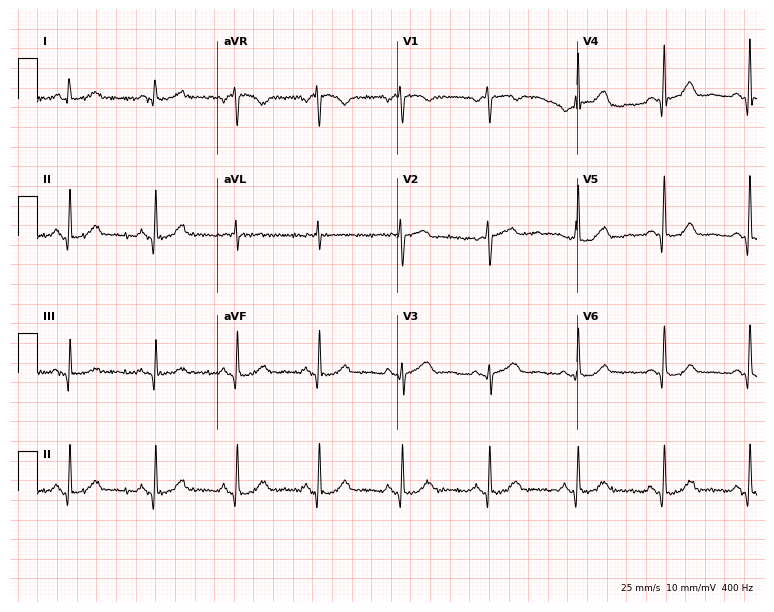
Standard 12-lead ECG recorded from a female patient, 61 years old. None of these six findings is recorded: first-degree AV block, right bundle branch block, left bundle branch block, sinus bradycardia, atrial fibrillation, sinus tachycardia. Other findings, if any, are not listed.